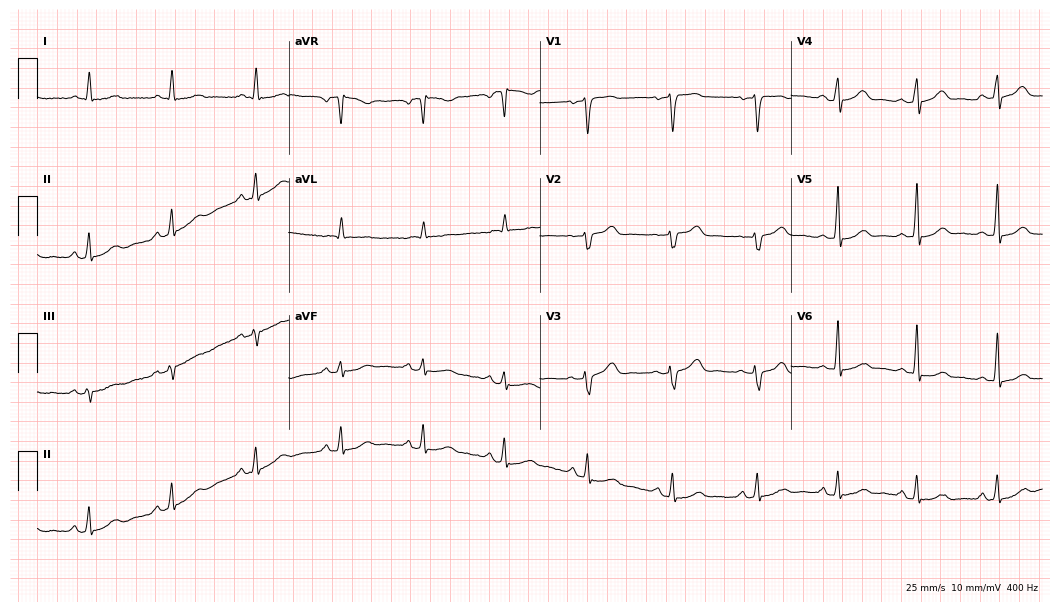
Standard 12-lead ECG recorded from a 63-year-old female patient (10.2-second recording at 400 Hz). None of these six findings is recorded: first-degree AV block, right bundle branch block, left bundle branch block, sinus bradycardia, atrial fibrillation, sinus tachycardia. Only these six findings were labelled.